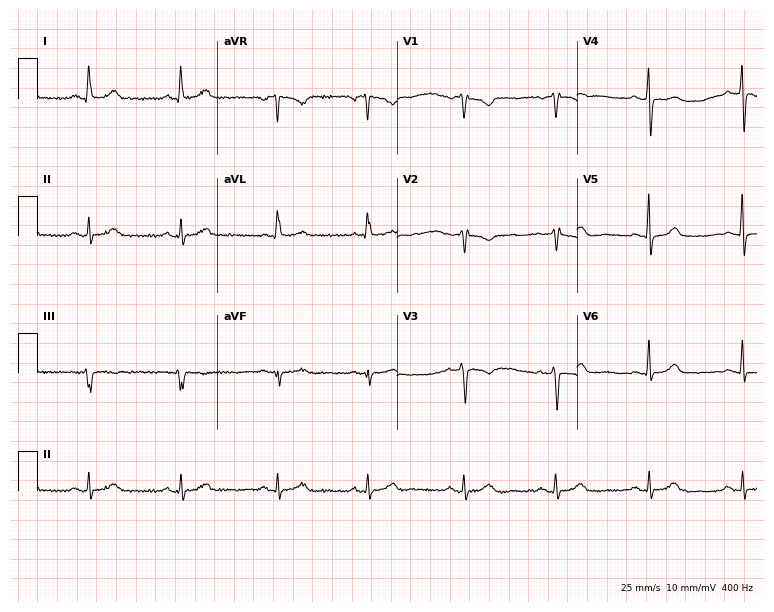
ECG (7.3-second recording at 400 Hz) — a female, 57 years old. Screened for six findings — first-degree AV block, right bundle branch block (RBBB), left bundle branch block (LBBB), sinus bradycardia, atrial fibrillation (AF), sinus tachycardia — none is recorded. Only these six findings were labelled.